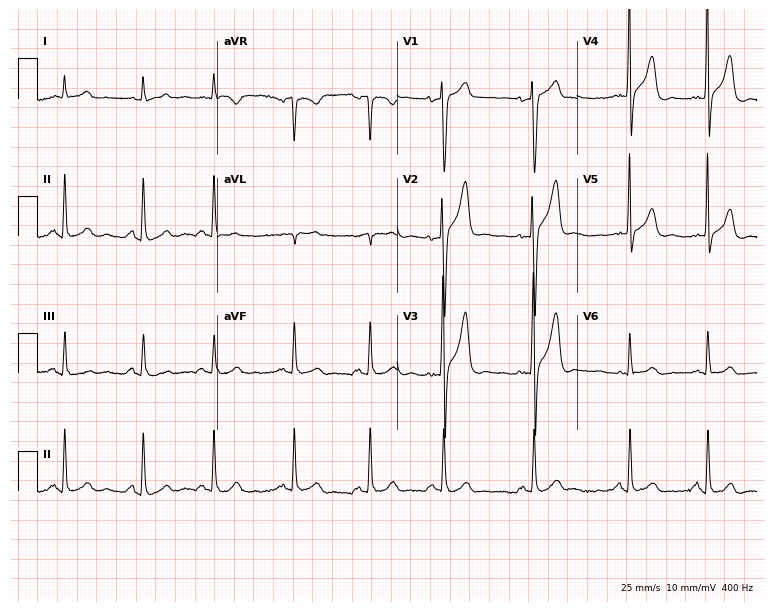
Standard 12-lead ECG recorded from a 66-year-old man (7.3-second recording at 400 Hz). None of these six findings is recorded: first-degree AV block, right bundle branch block, left bundle branch block, sinus bradycardia, atrial fibrillation, sinus tachycardia. Only these six findings were labelled.